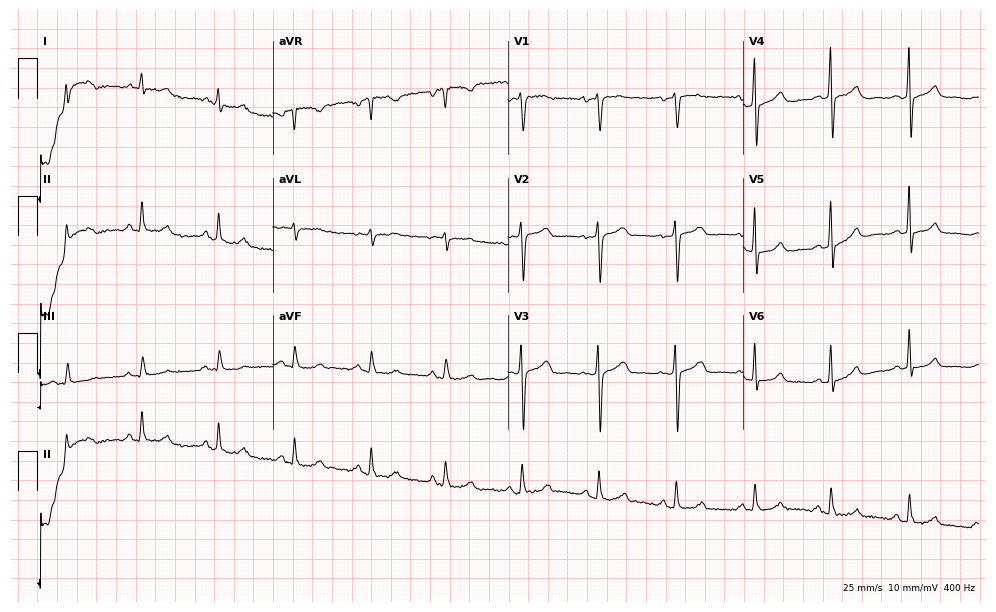
Electrocardiogram (9.6-second recording at 400 Hz), a female, 42 years old. Overall reading on record: normal ECG.